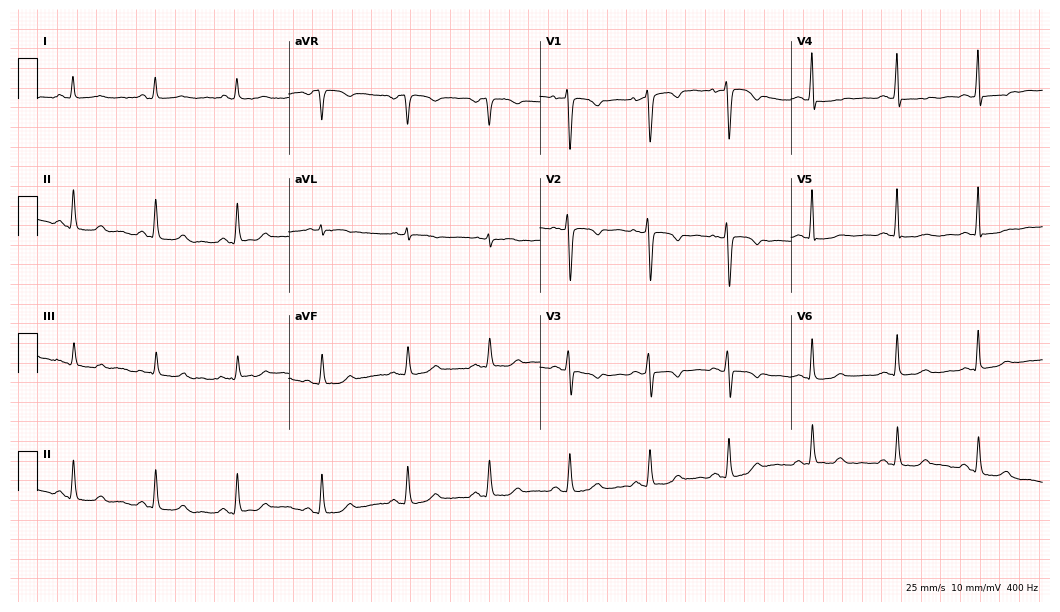
12-lead ECG from a female patient, 47 years old. No first-degree AV block, right bundle branch block, left bundle branch block, sinus bradycardia, atrial fibrillation or sinus tachycardia recorded for this tracing.